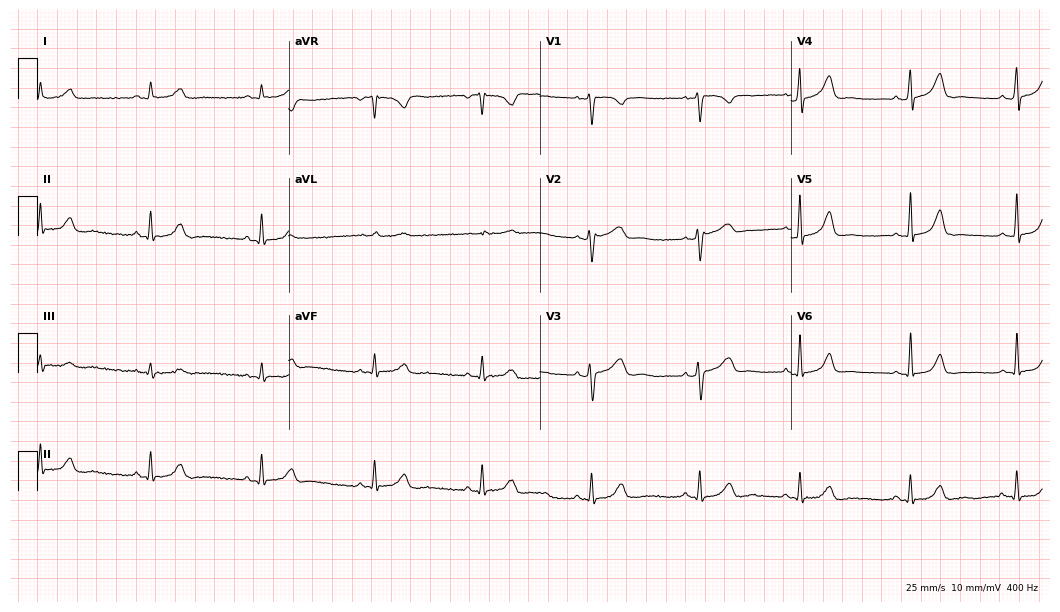
Resting 12-lead electrocardiogram (10.2-second recording at 400 Hz). Patient: a 37-year-old female. Read as a normal ECG.